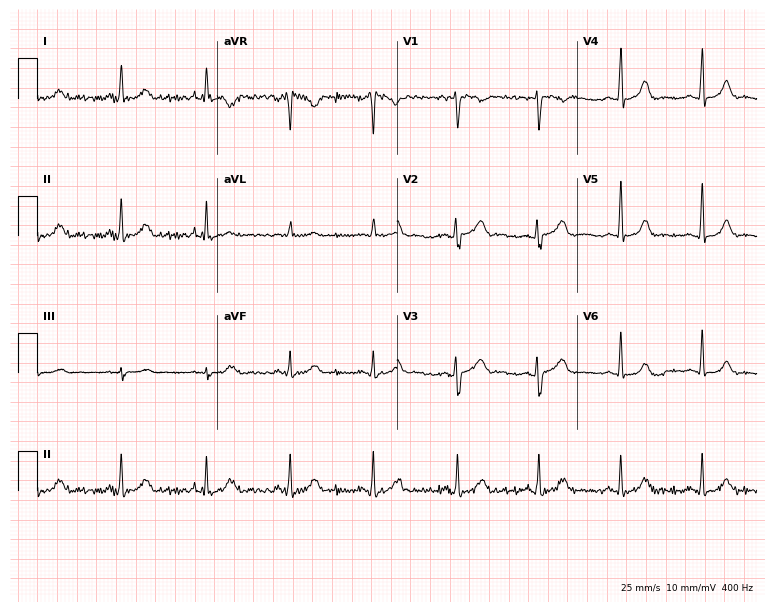
ECG (7.3-second recording at 400 Hz) — a female, 35 years old. Labelled as a normal ECG.